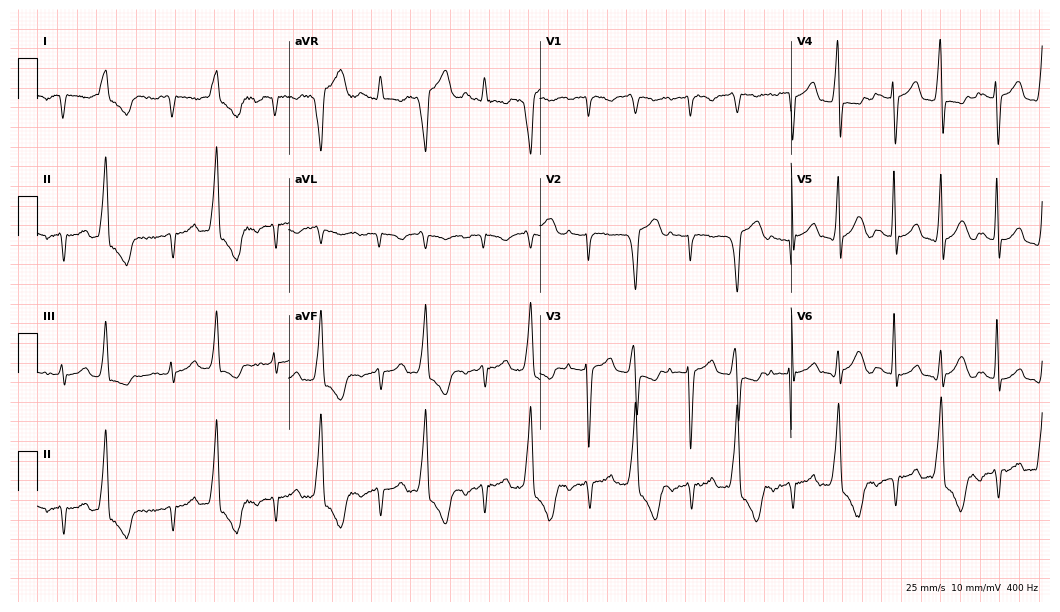
Standard 12-lead ECG recorded from a female patient, 58 years old. None of these six findings is recorded: first-degree AV block, right bundle branch block, left bundle branch block, sinus bradycardia, atrial fibrillation, sinus tachycardia.